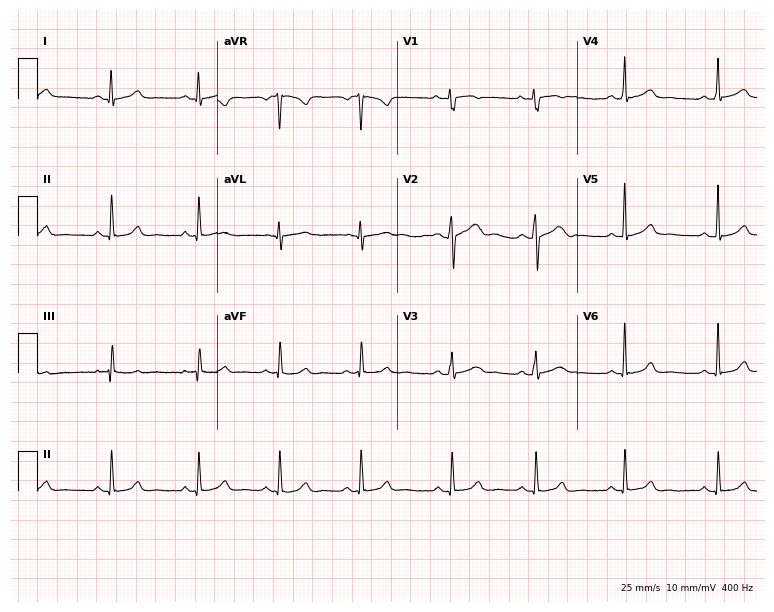
Resting 12-lead electrocardiogram (7.3-second recording at 400 Hz). Patient: a female, 26 years old. Read as a normal ECG.